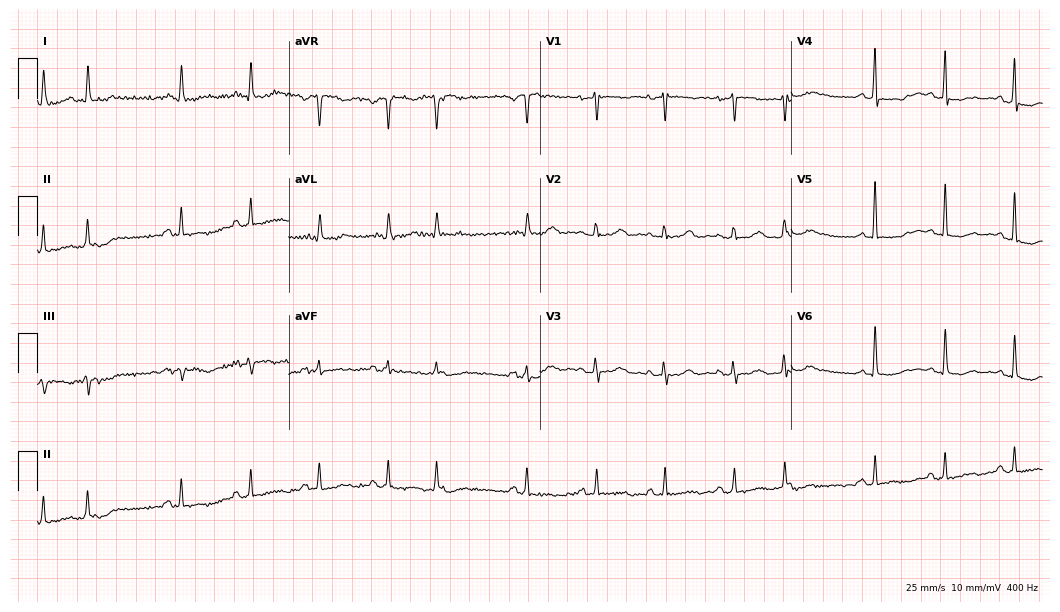
Resting 12-lead electrocardiogram. Patient: a 62-year-old female. None of these six findings is recorded: first-degree AV block, right bundle branch block, left bundle branch block, sinus bradycardia, atrial fibrillation, sinus tachycardia.